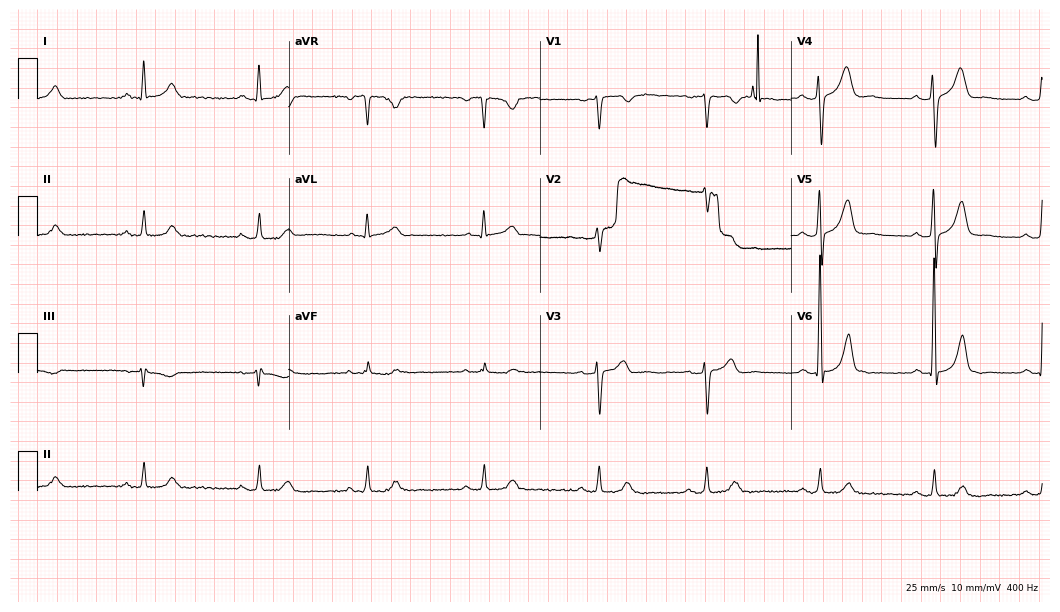
Standard 12-lead ECG recorded from a 66-year-old male (10.2-second recording at 400 Hz). None of these six findings is recorded: first-degree AV block, right bundle branch block, left bundle branch block, sinus bradycardia, atrial fibrillation, sinus tachycardia.